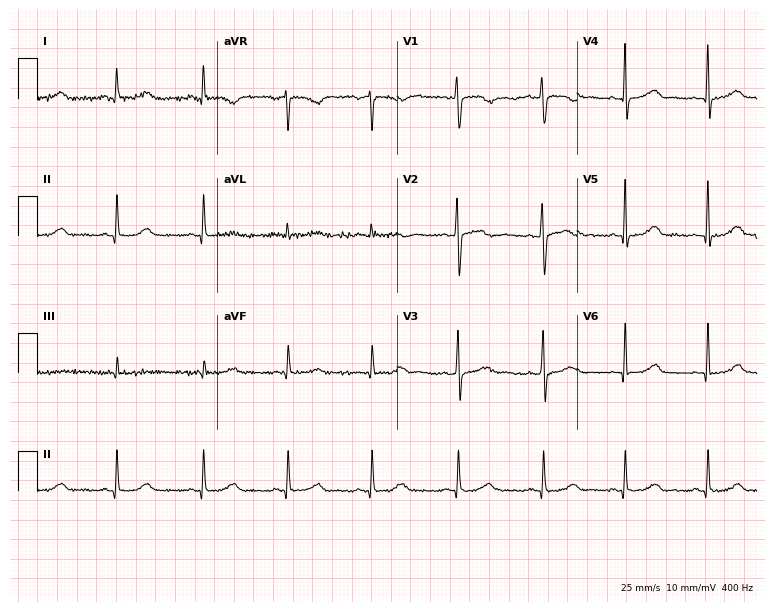
12-lead ECG from a woman, 42 years old. Recorded interpretation: within normal limits.